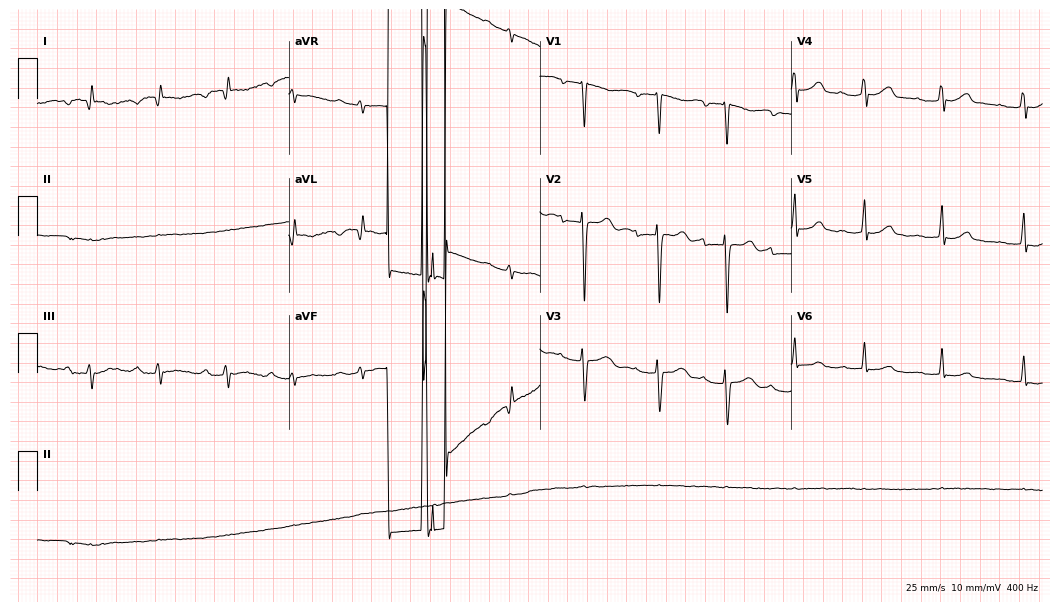
Resting 12-lead electrocardiogram. Patient: a woman, 21 years old. None of these six findings is recorded: first-degree AV block, right bundle branch block (RBBB), left bundle branch block (LBBB), sinus bradycardia, atrial fibrillation (AF), sinus tachycardia. Only these six findings were labelled.